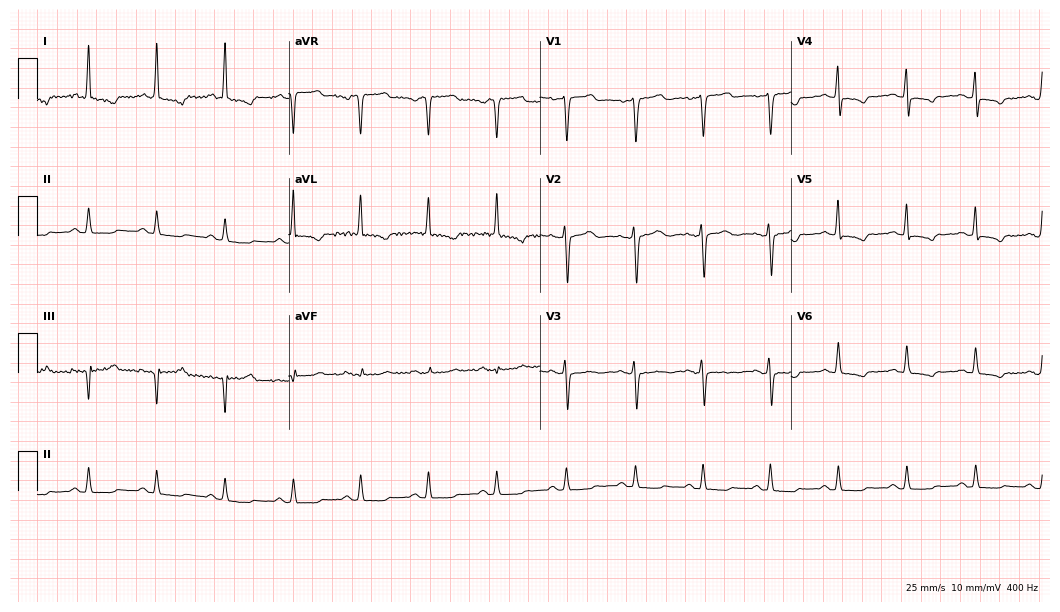
12-lead ECG from a female patient, 67 years old. Screened for six findings — first-degree AV block, right bundle branch block, left bundle branch block, sinus bradycardia, atrial fibrillation, sinus tachycardia — none is recorded.